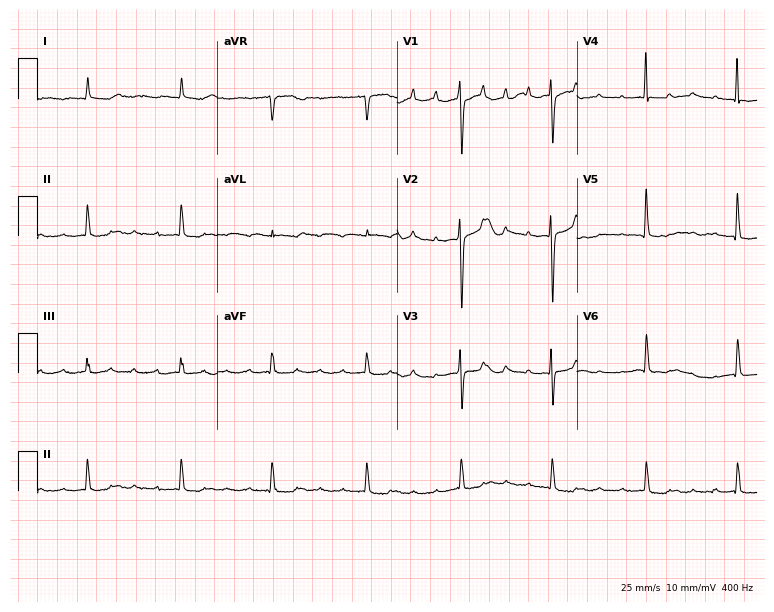
12-lead ECG from a woman, 82 years old. Screened for six findings — first-degree AV block, right bundle branch block, left bundle branch block, sinus bradycardia, atrial fibrillation, sinus tachycardia — none is recorded.